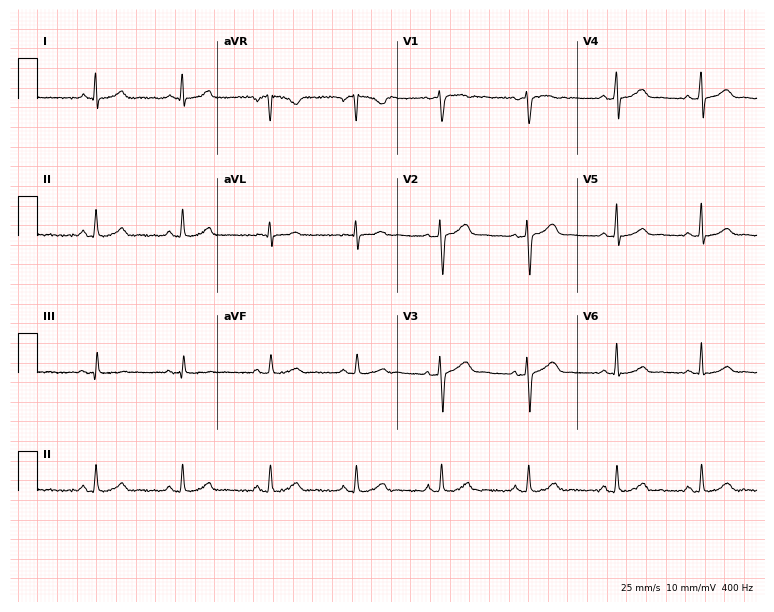
Resting 12-lead electrocardiogram. Patient: a 50-year-old woman. Read as a normal ECG.